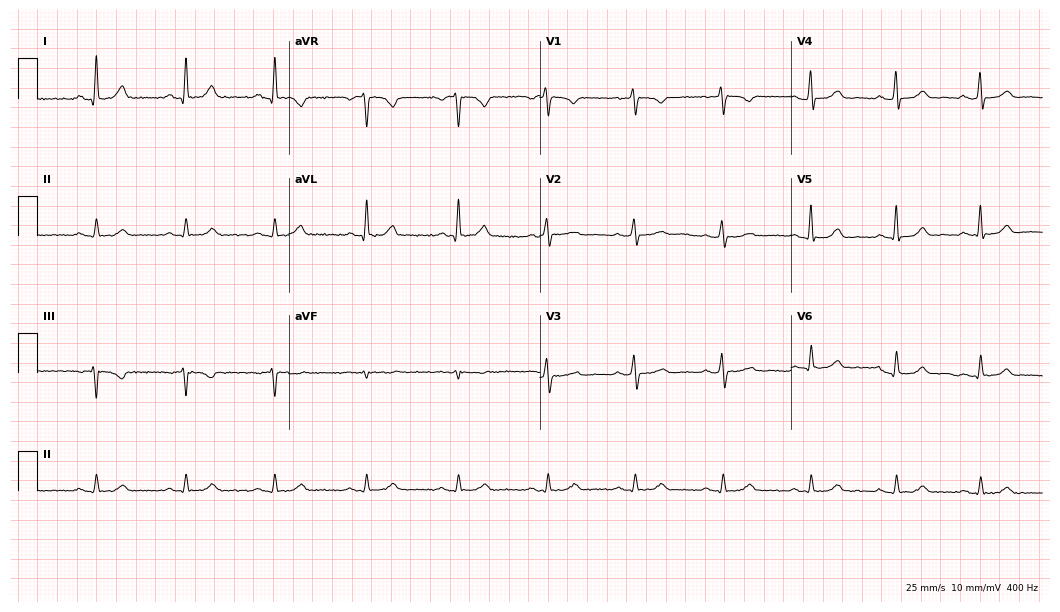
12-lead ECG (10.2-second recording at 400 Hz) from a female patient, 57 years old. Labelled as a normal ECG.